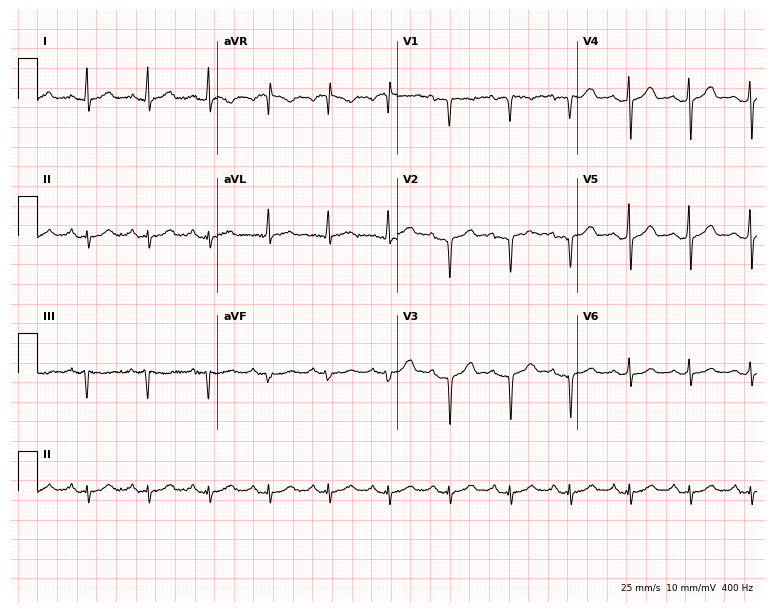
Electrocardiogram (7.3-second recording at 400 Hz), a 57-year-old male. Of the six screened findings (first-degree AV block, right bundle branch block, left bundle branch block, sinus bradycardia, atrial fibrillation, sinus tachycardia), none is recorded.